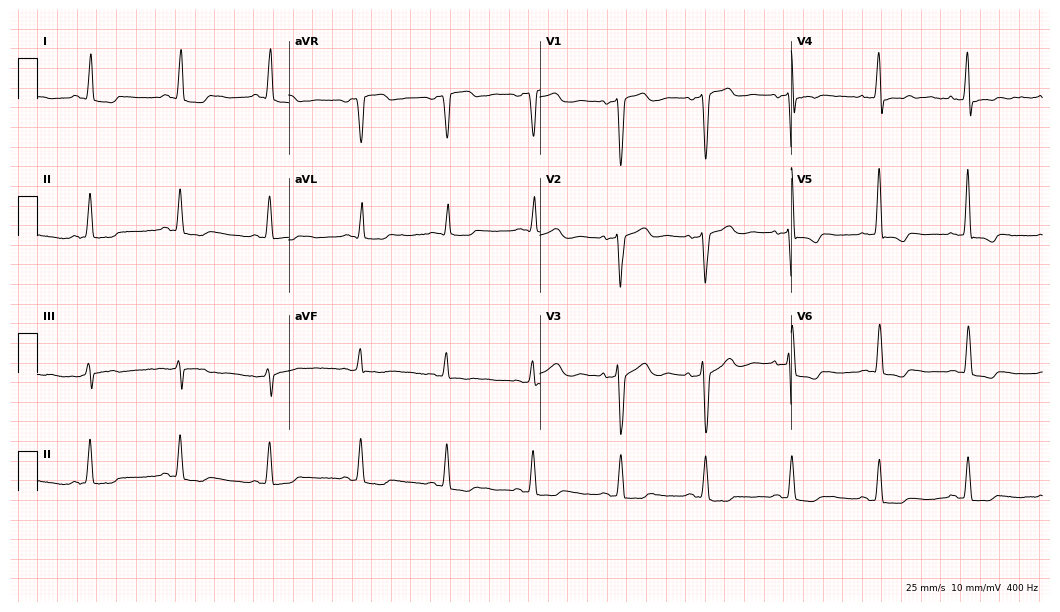
ECG (10.2-second recording at 400 Hz) — a 60-year-old woman. Screened for six findings — first-degree AV block, right bundle branch block (RBBB), left bundle branch block (LBBB), sinus bradycardia, atrial fibrillation (AF), sinus tachycardia — none is recorded. Findings outside these six are not listed.